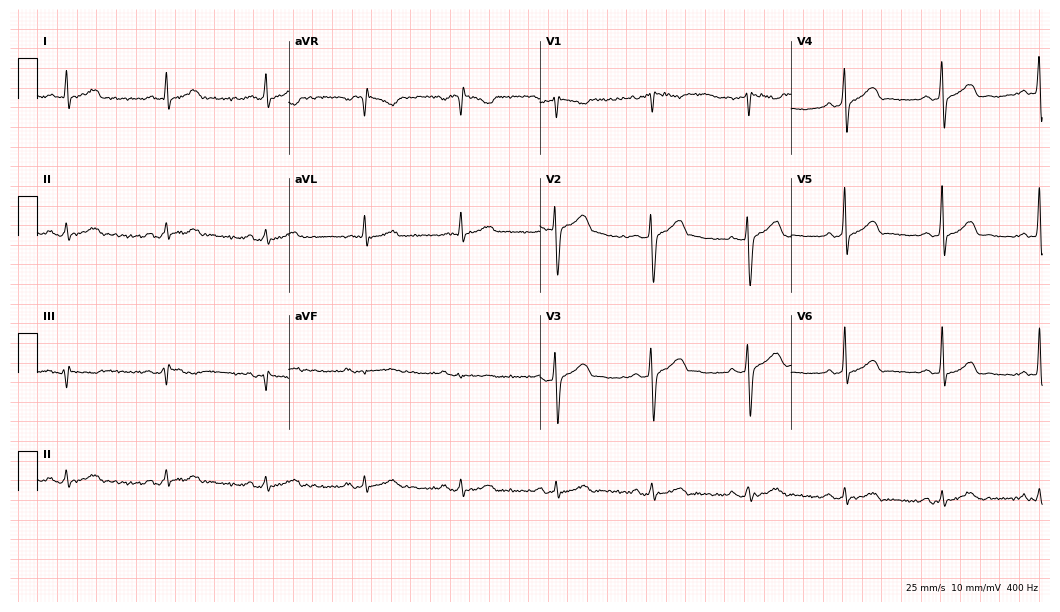
ECG — a 55-year-old male patient. Screened for six findings — first-degree AV block, right bundle branch block, left bundle branch block, sinus bradycardia, atrial fibrillation, sinus tachycardia — none is recorded.